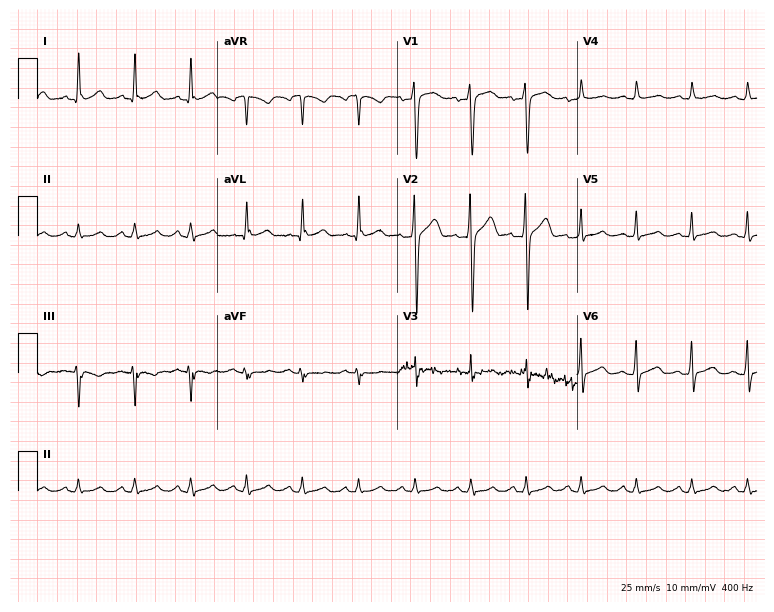
Electrocardiogram (7.3-second recording at 400 Hz), a 28-year-old man. Interpretation includes sinus tachycardia (a sinus rate of 100 beats per minute or more).